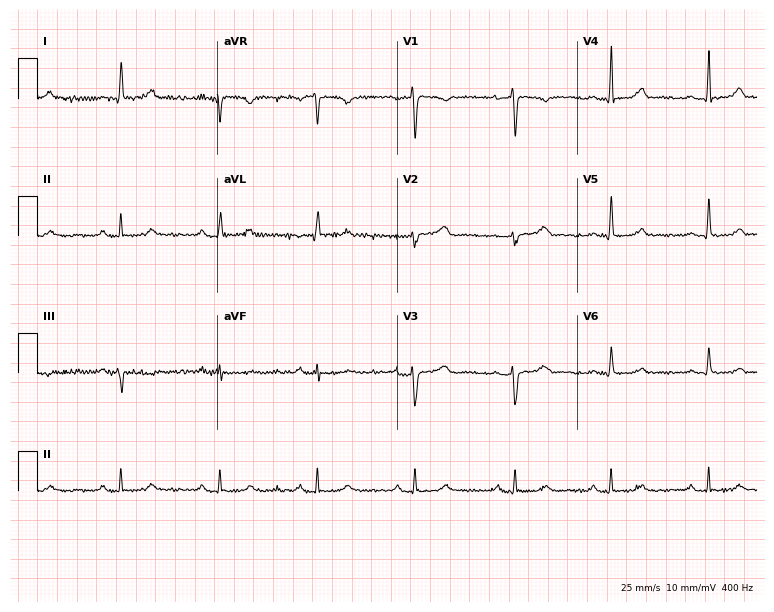
ECG (7.3-second recording at 400 Hz) — a woman, 41 years old. Screened for six findings — first-degree AV block, right bundle branch block (RBBB), left bundle branch block (LBBB), sinus bradycardia, atrial fibrillation (AF), sinus tachycardia — none is recorded.